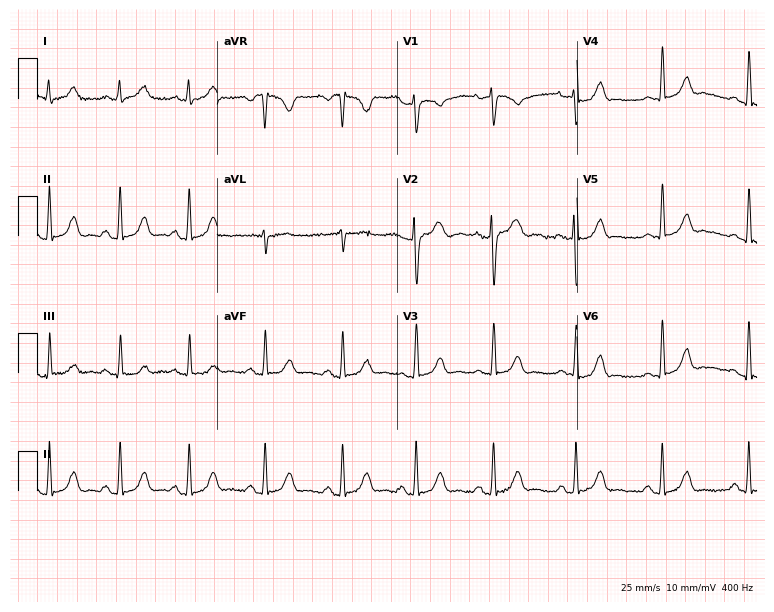
ECG (7.3-second recording at 400 Hz) — a 28-year-old female. Screened for six findings — first-degree AV block, right bundle branch block (RBBB), left bundle branch block (LBBB), sinus bradycardia, atrial fibrillation (AF), sinus tachycardia — none is recorded. Only these six findings were labelled.